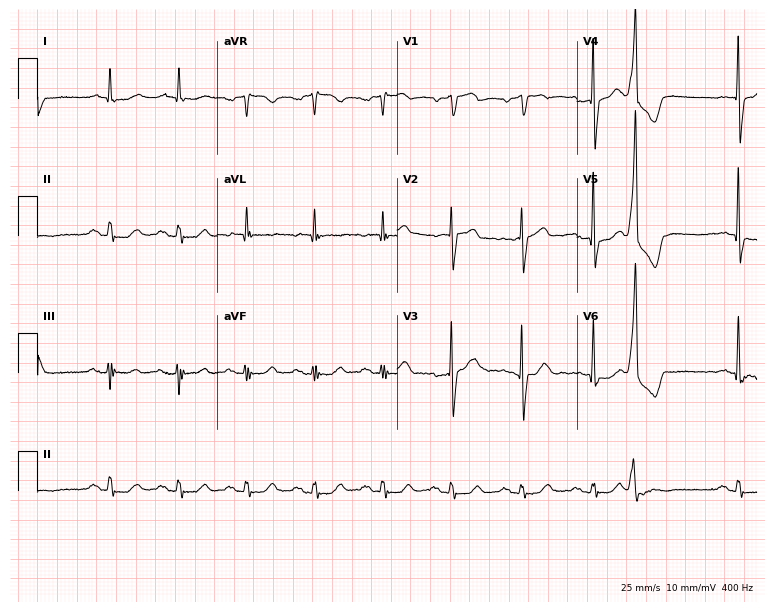
Standard 12-lead ECG recorded from a male patient, 85 years old (7.3-second recording at 400 Hz). None of these six findings is recorded: first-degree AV block, right bundle branch block, left bundle branch block, sinus bradycardia, atrial fibrillation, sinus tachycardia. Other findings, if any, are not listed.